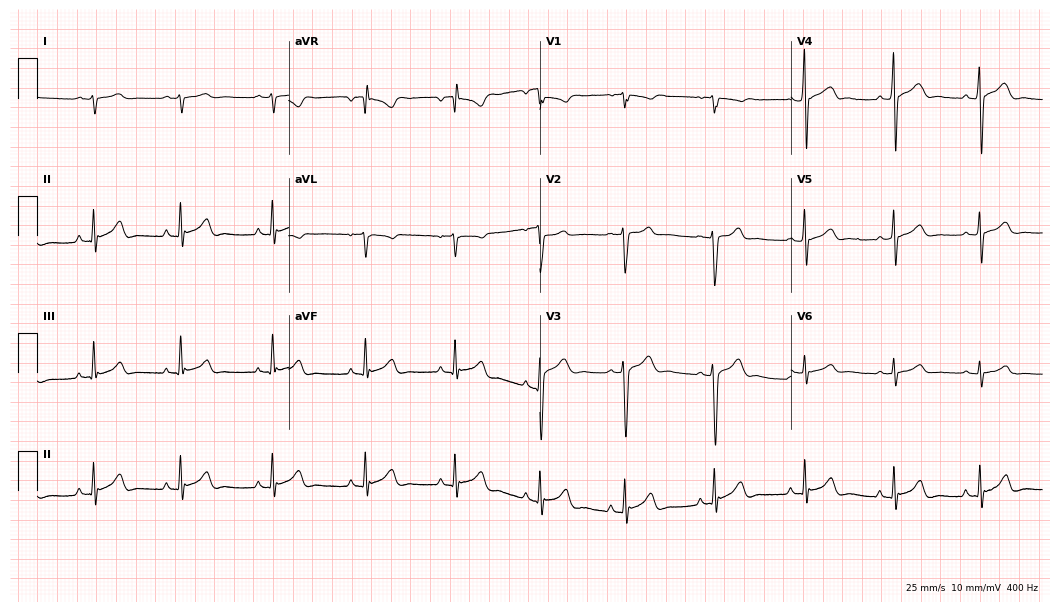
12-lead ECG from a 17-year-old man. No first-degree AV block, right bundle branch block, left bundle branch block, sinus bradycardia, atrial fibrillation or sinus tachycardia recorded for this tracing. Only these six findings were labelled.